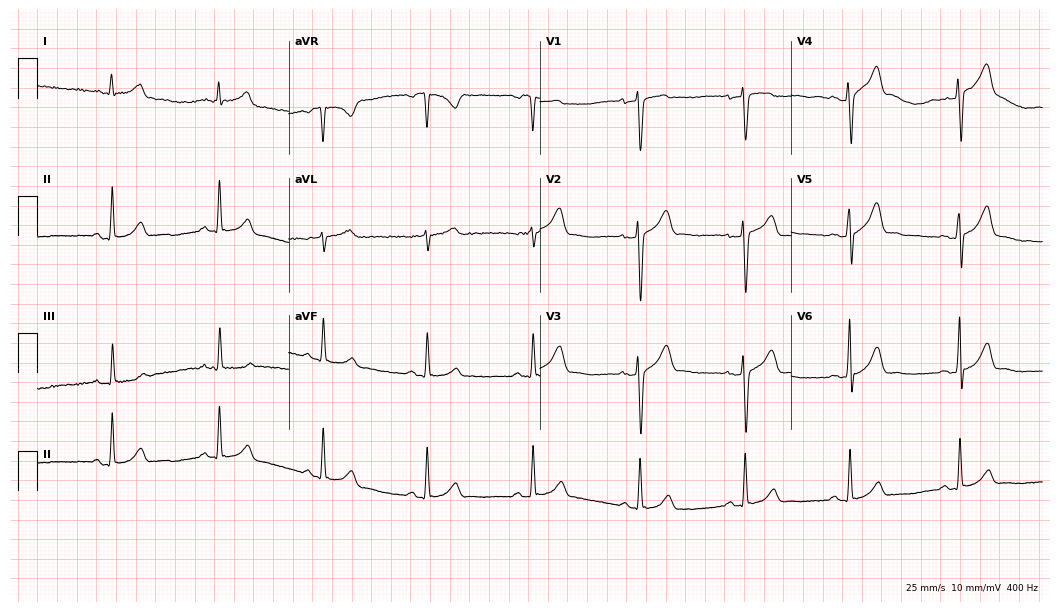
Resting 12-lead electrocardiogram. Patient: a man, 35 years old. None of these six findings is recorded: first-degree AV block, right bundle branch block (RBBB), left bundle branch block (LBBB), sinus bradycardia, atrial fibrillation (AF), sinus tachycardia.